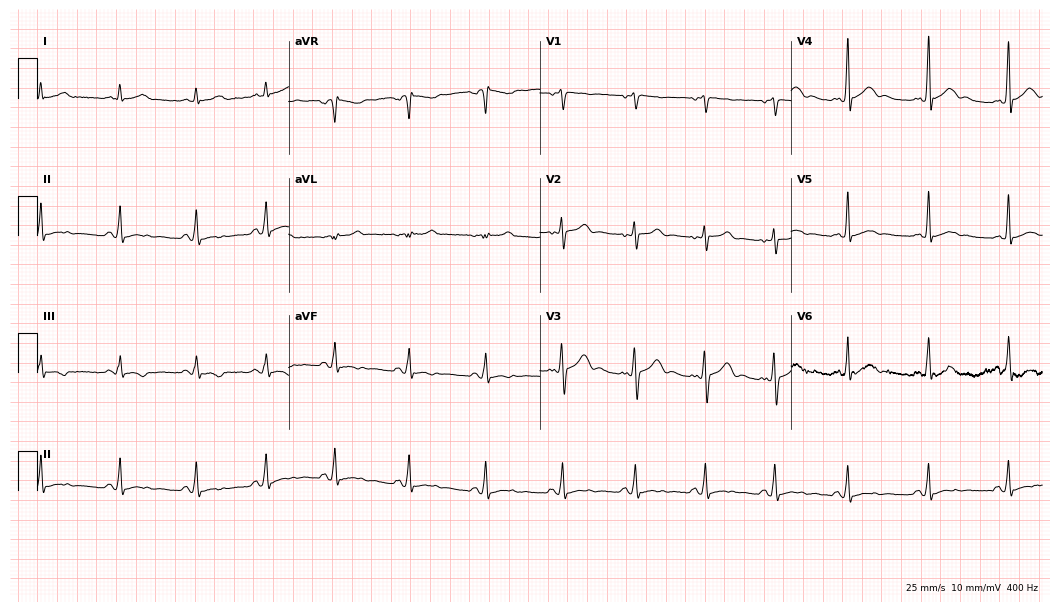
Resting 12-lead electrocardiogram. Patient: a 22-year-old man. Read as a normal ECG.